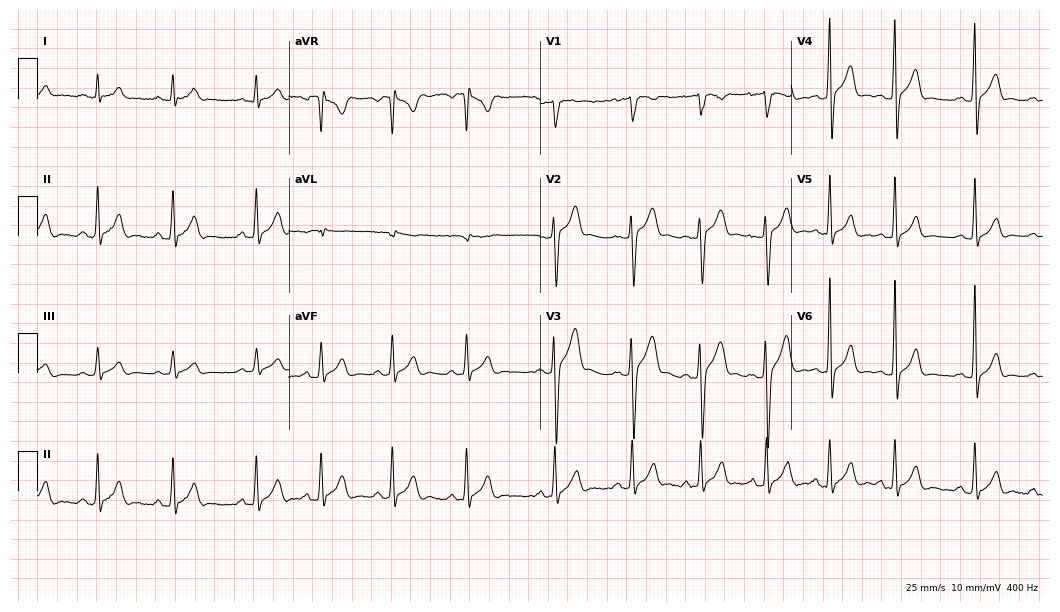
12-lead ECG from a 20-year-old male patient. Recorded interpretation: within normal limits.